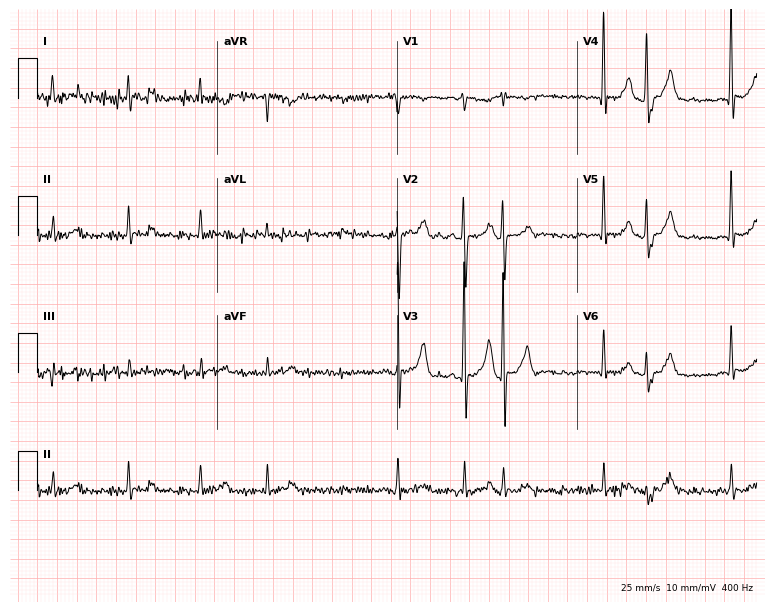
Resting 12-lead electrocardiogram. Patient: a man, 61 years old. None of these six findings is recorded: first-degree AV block, right bundle branch block, left bundle branch block, sinus bradycardia, atrial fibrillation, sinus tachycardia. Other findings, if any, are not listed.